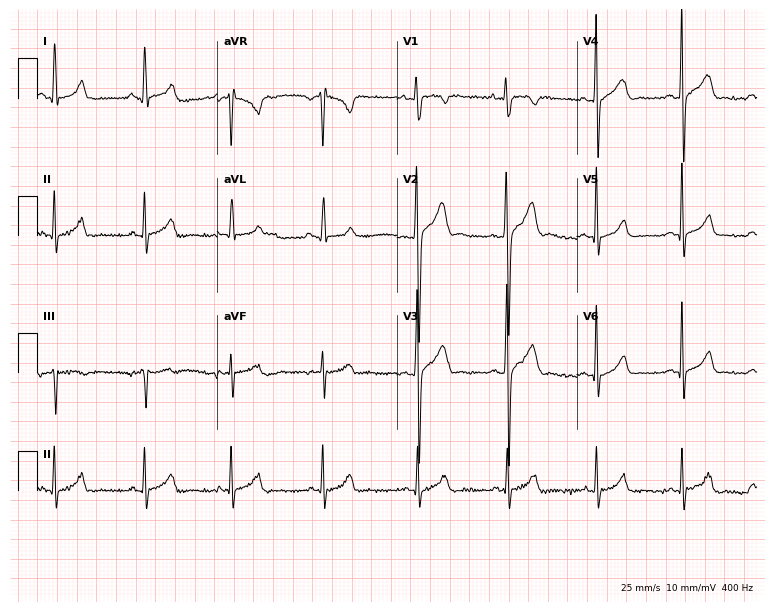
12-lead ECG (7.3-second recording at 400 Hz) from a man, 21 years old. Labelled as a normal ECG.